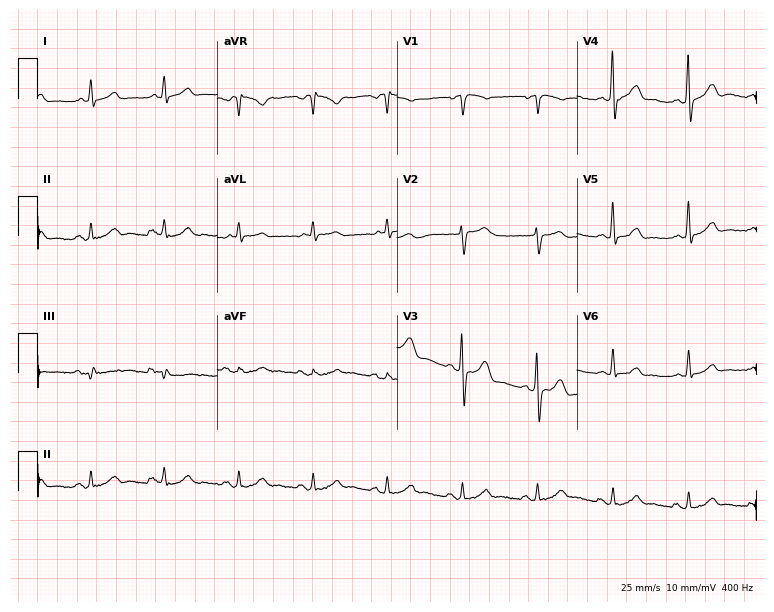
ECG (7.3-second recording at 400 Hz) — a male patient, 63 years old. Screened for six findings — first-degree AV block, right bundle branch block (RBBB), left bundle branch block (LBBB), sinus bradycardia, atrial fibrillation (AF), sinus tachycardia — none is recorded.